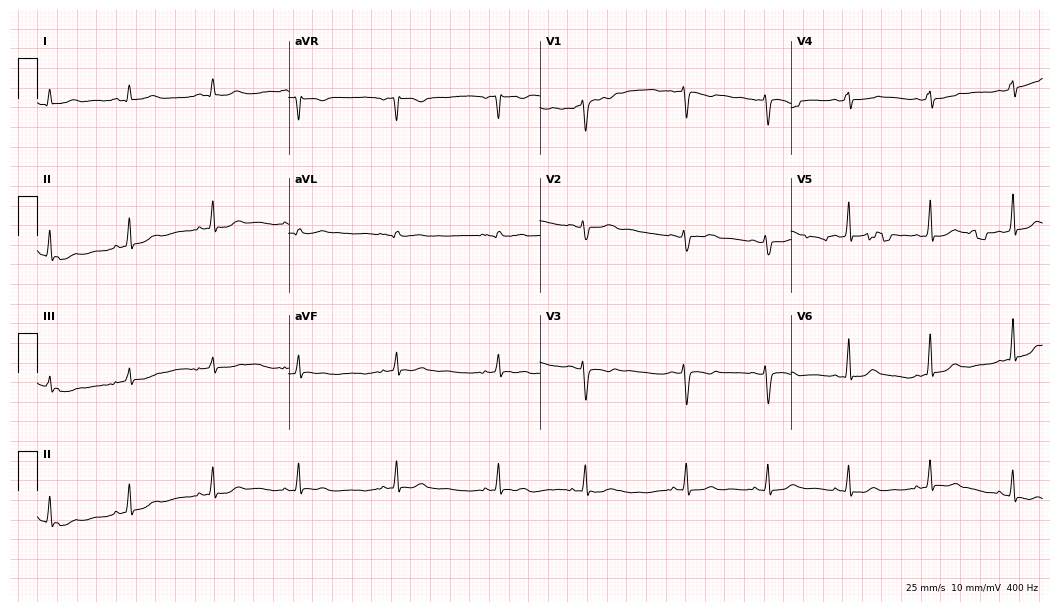
Resting 12-lead electrocardiogram. Patient: a 31-year-old female. Read as a normal ECG.